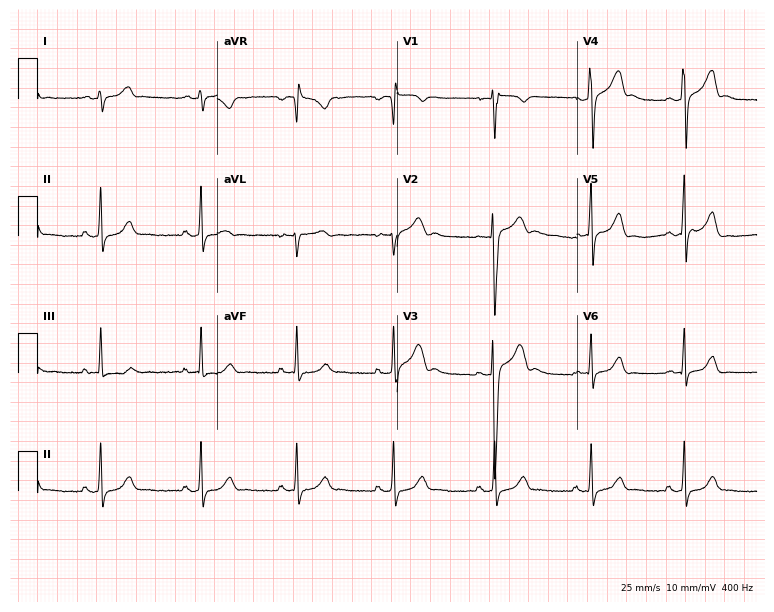
ECG (7.3-second recording at 400 Hz) — a male patient, 25 years old. Labelled as a normal ECG.